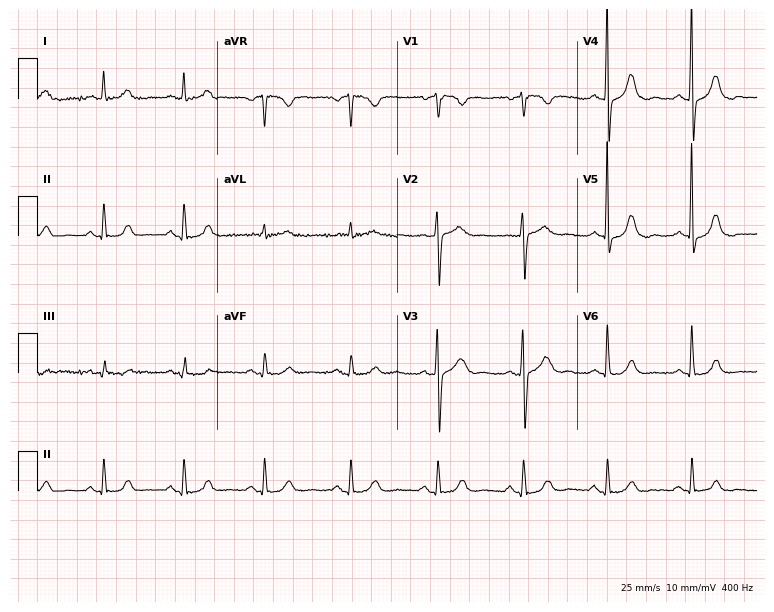
Resting 12-lead electrocardiogram (7.3-second recording at 400 Hz). Patient: a 73-year-old female. None of these six findings is recorded: first-degree AV block, right bundle branch block, left bundle branch block, sinus bradycardia, atrial fibrillation, sinus tachycardia.